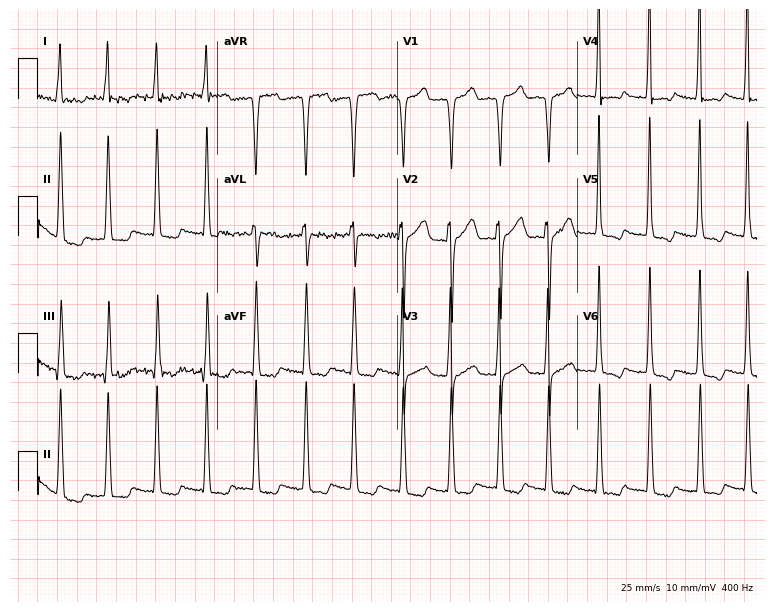
12-lead ECG from a 63-year-old woman. Findings include sinus tachycardia (a sinus rate of 100 beats per minute or more).